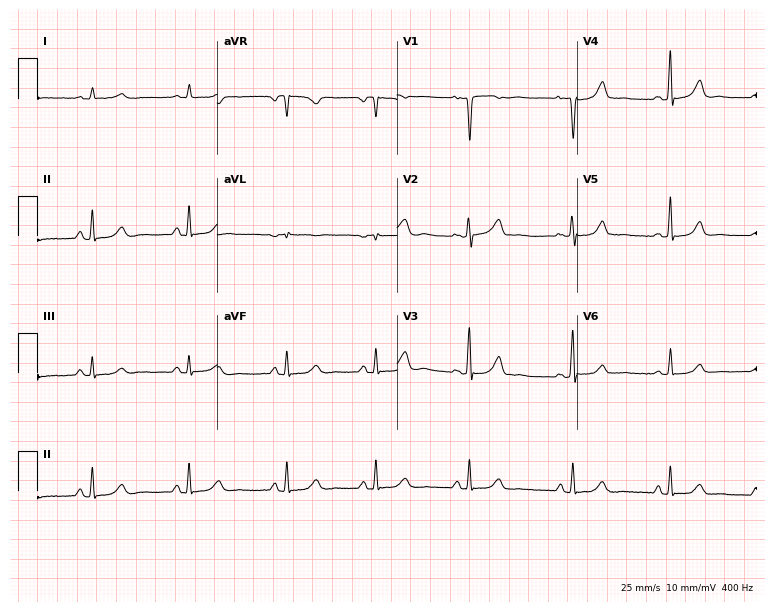
12-lead ECG from a 43-year-old female patient. Screened for six findings — first-degree AV block, right bundle branch block, left bundle branch block, sinus bradycardia, atrial fibrillation, sinus tachycardia — none is recorded. Findings outside these six are not listed.